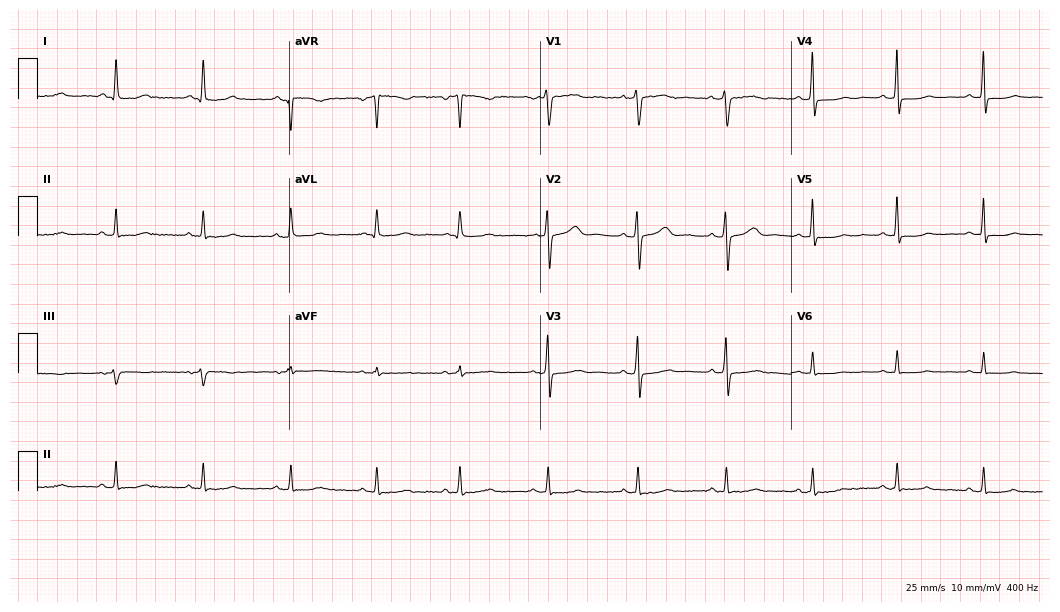
12-lead ECG (10.2-second recording at 400 Hz) from a 38-year-old woman. Screened for six findings — first-degree AV block, right bundle branch block, left bundle branch block, sinus bradycardia, atrial fibrillation, sinus tachycardia — none is recorded. Other findings, if any, are not listed.